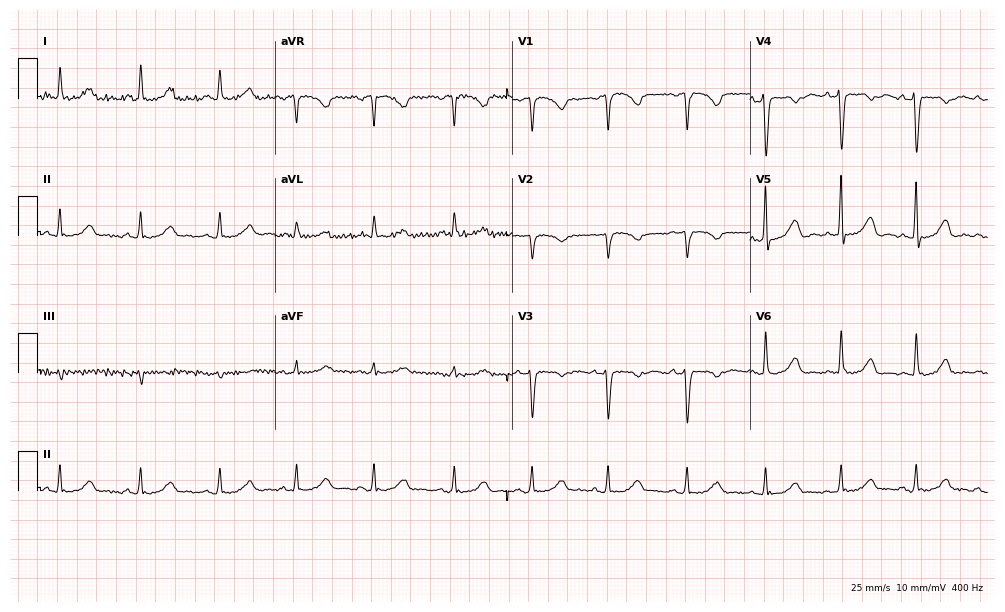
ECG (9.7-second recording at 400 Hz) — a woman, 41 years old. Labelled as a normal ECG.